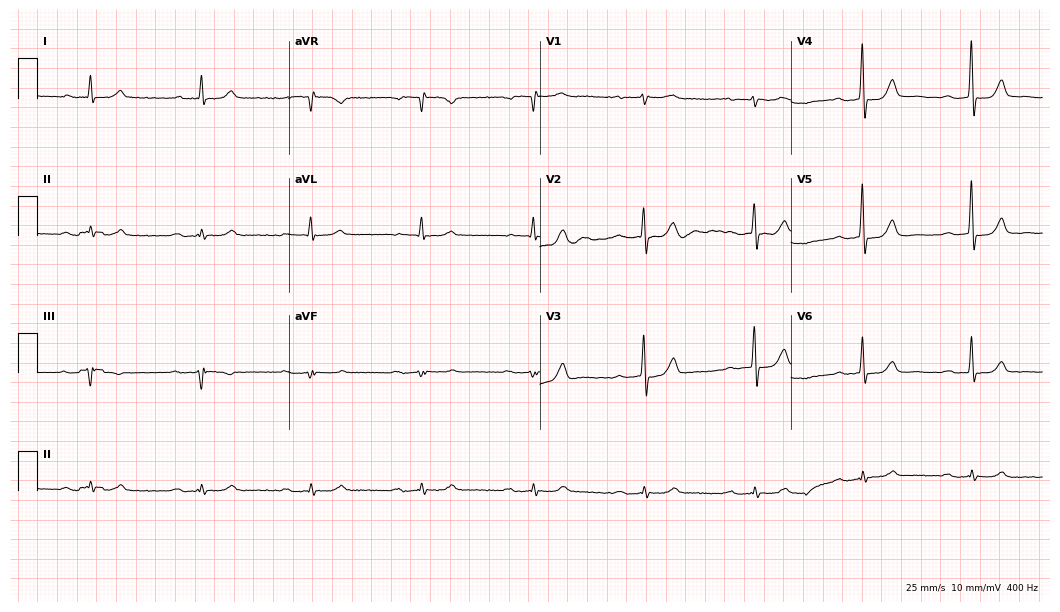
ECG — a 66-year-old male patient. Findings include first-degree AV block.